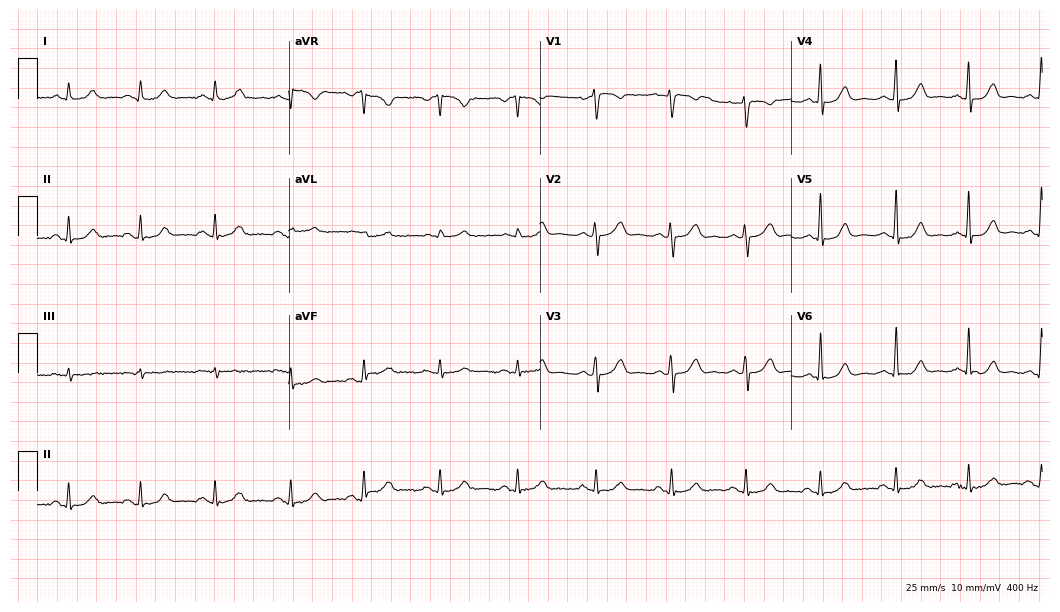
Resting 12-lead electrocardiogram (10.2-second recording at 400 Hz). Patient: a female, 34 years old. Read as a normal ECG.